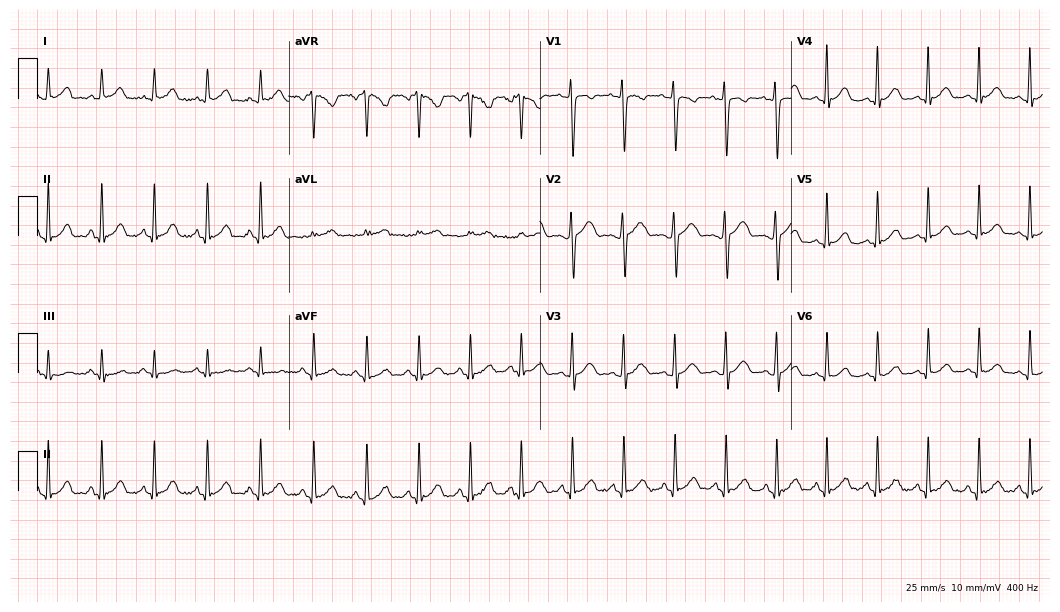
12-lead ECG from a female, 23 years old. Findings include sinus tachycardia (a sinus rate of 100 beats per minute or more).